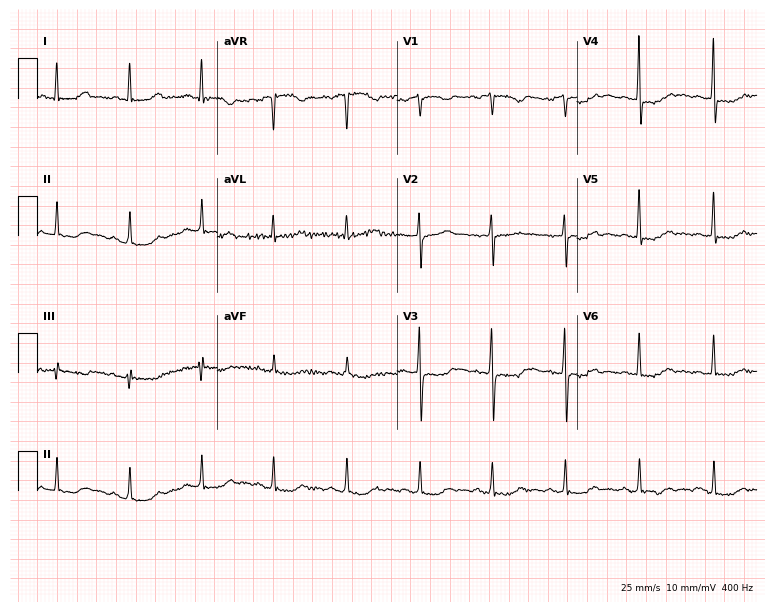
12-lead ECG from a woman, 64 years old. Screened for six findings — first-degree AV block, right bundle branch block, left bundle branch block, sinus bradycardia, atrial fibrillation, sinus tachycardia — none is recorded.